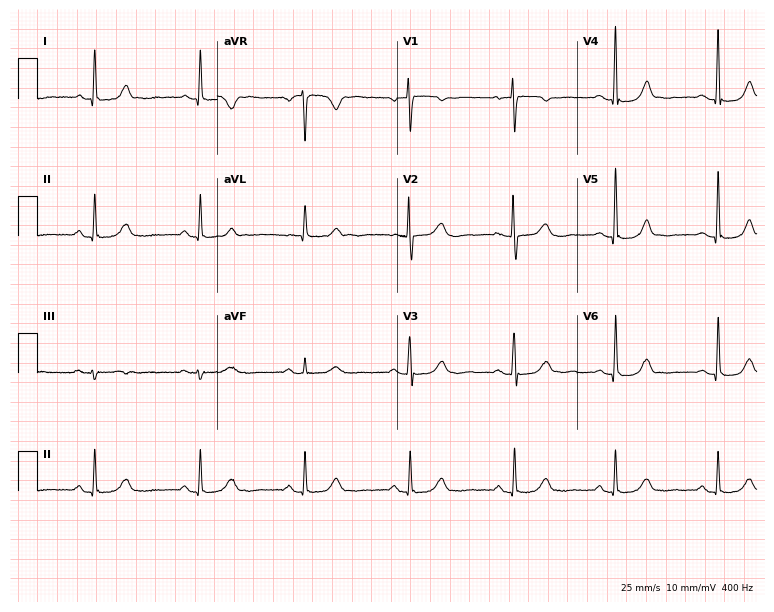
Standard 12-lead ECG recorded from a 79-year-old female (7.3-second recording at 400 Hz). Read as a normal ECG.